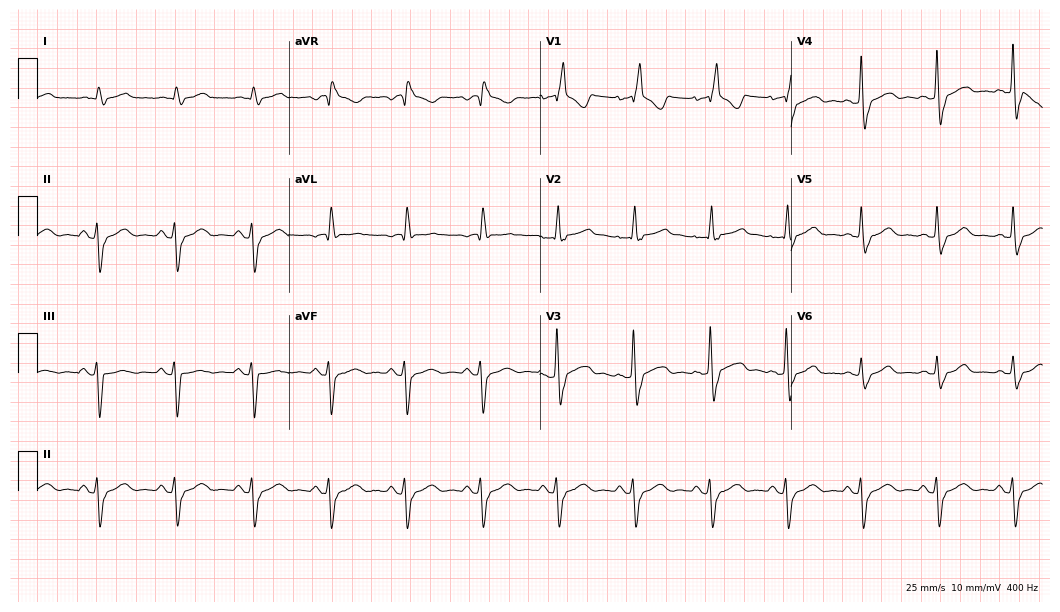
Resting 12-lead electrocardiogram (10.2-second recording at 400 Hz). Patient: an 86-year-old male. The tracing shows right bundle branch block (RBBB).